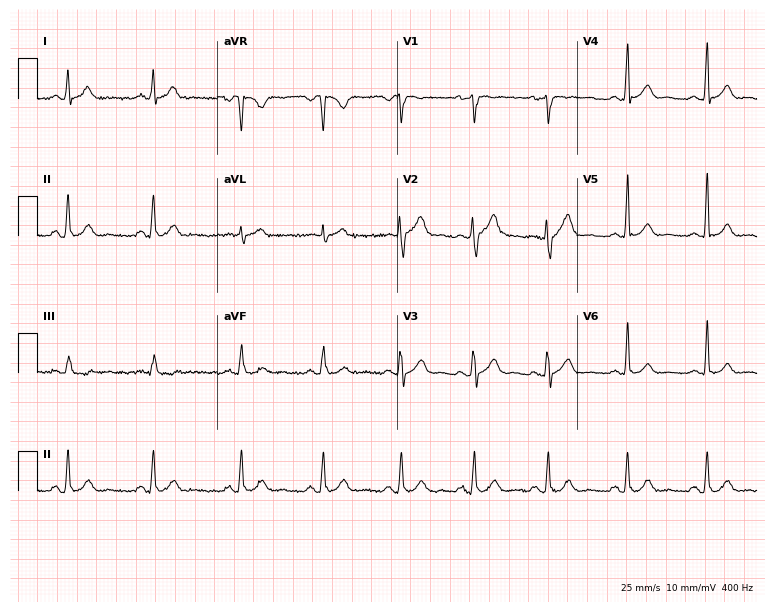
Standard 12-lead ECG recorded from a 29-year-old man (7.3-second recording at 400 Hz). Read as a normal ECG.